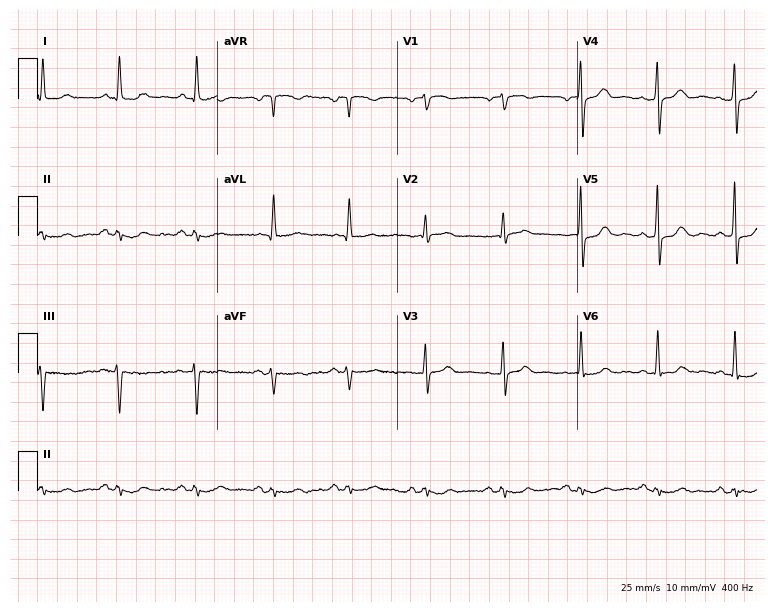
Resting 12-lead electrocardiogram (7.3-second recording at 400 Hz). Patient: a 77-year-old male. None of these six findings is recorded: first-degree AV block, right bundle branch block, left bundle branch block, sinus bradycardia, atrial fibrillation, sinus tachycardia. Only these six findings were labelled.